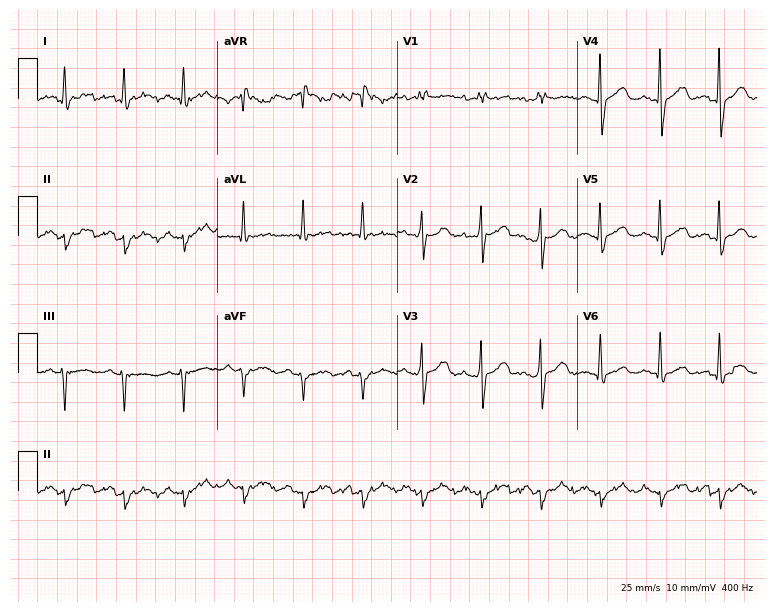
Resting 12-lead electrocardiogram (7.3-second recording at 400 Hz). Patient: a 60-year-old male. None of these six findings is recorded: first-degree AV block, right bundle branch block, left bundle branch block, sinus bradycardia, atrial fibrillation, sinus tachycardia. Other findings, if any, are not listed.